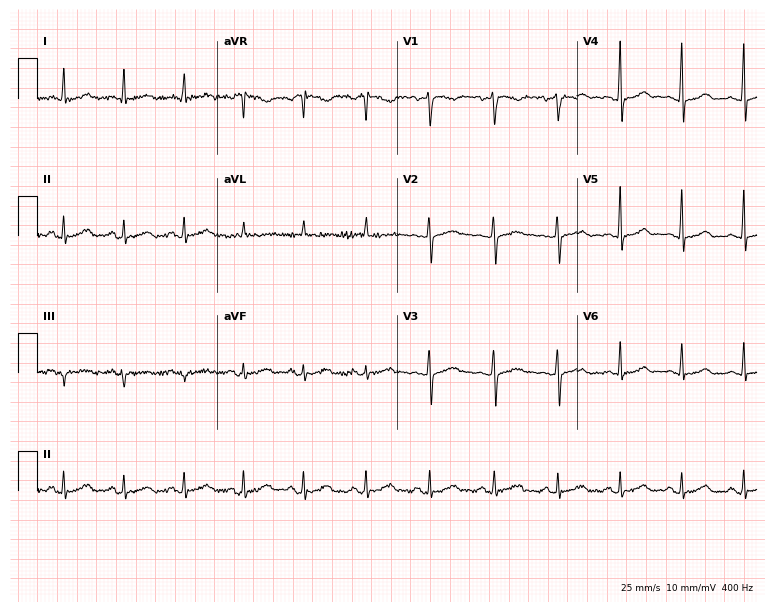
ECG (7.3-second recording at 400 Hz) — a 38-year-old female patient. Labelled as a normal ECG.